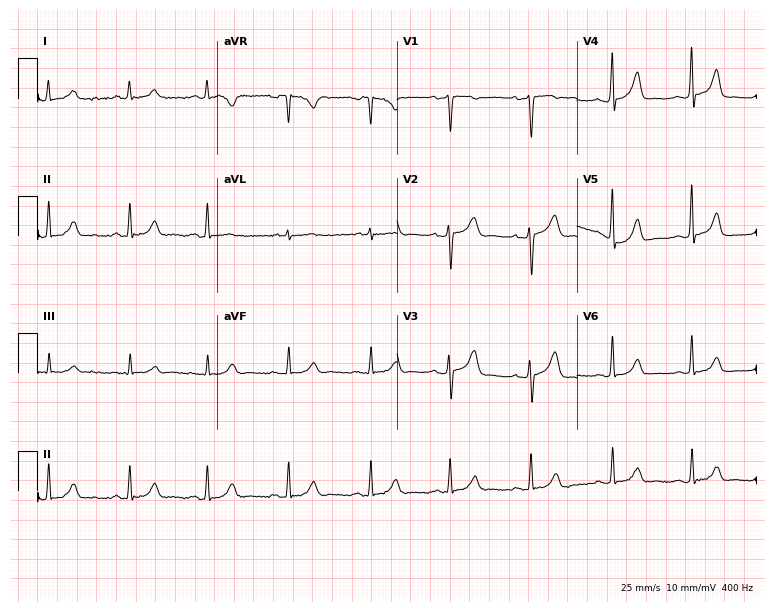
Resting 12-lead electrocardiogram. Patient: a 30-year-old female. None of these six findings is recorded: first-degree AV block, right bundle branch block (RBBB), left bundle branch block (LBBB), sinus bradycardia, atrial fibrillation (AF), sinus tachycardia.